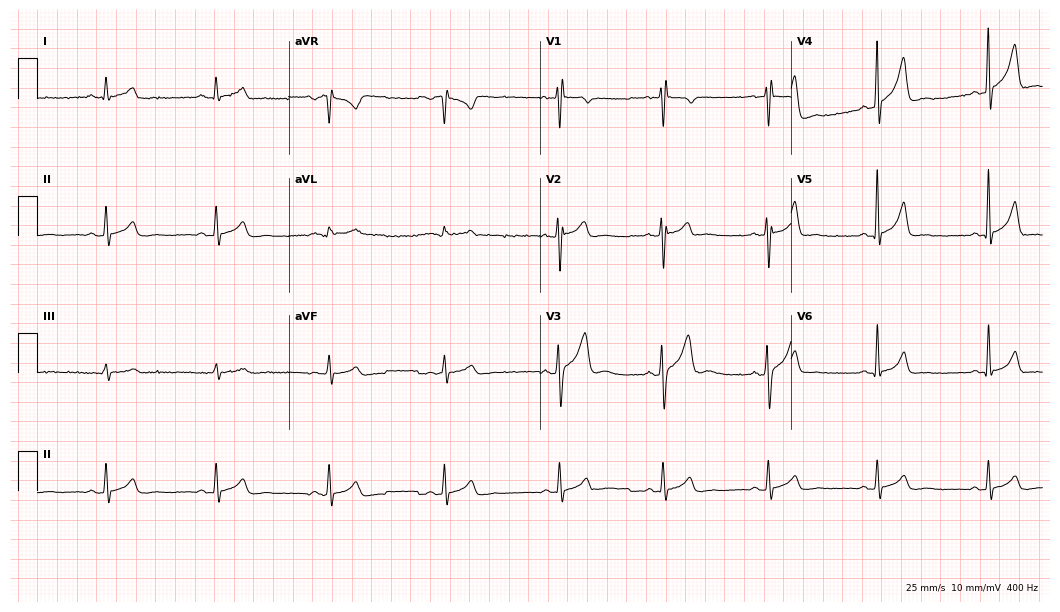
Resting 12-lead electrocardiogram. Patient: a male, 24 years old. Read as a normal ECG.